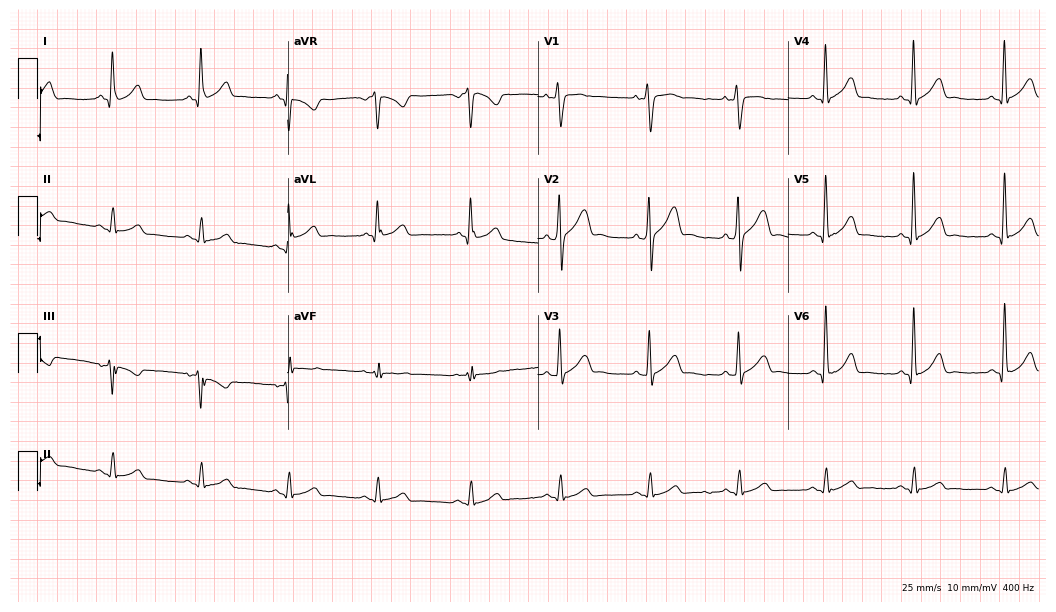
ECG (10.2-second recording at 400 Hz) — a male patient, 22 years old. Labelled as a normal ECG.